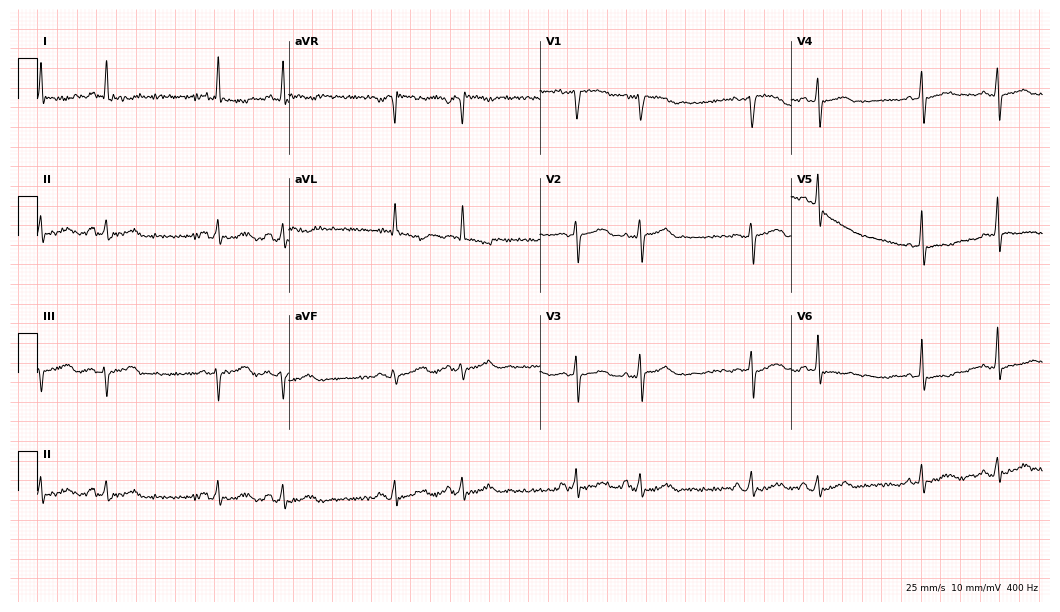
Standard 12-lead ECG recorded from a female, 69 years old (10.2-second recording at 400 Hz). None of these six findings is recorded: first-degree AV block, right bundle branch block (RBBB), left bundle branch block (LBBB), sinus bradycardia, atrial fibrillation (AF), sinus tachycardia. Only these six findings were labelled.